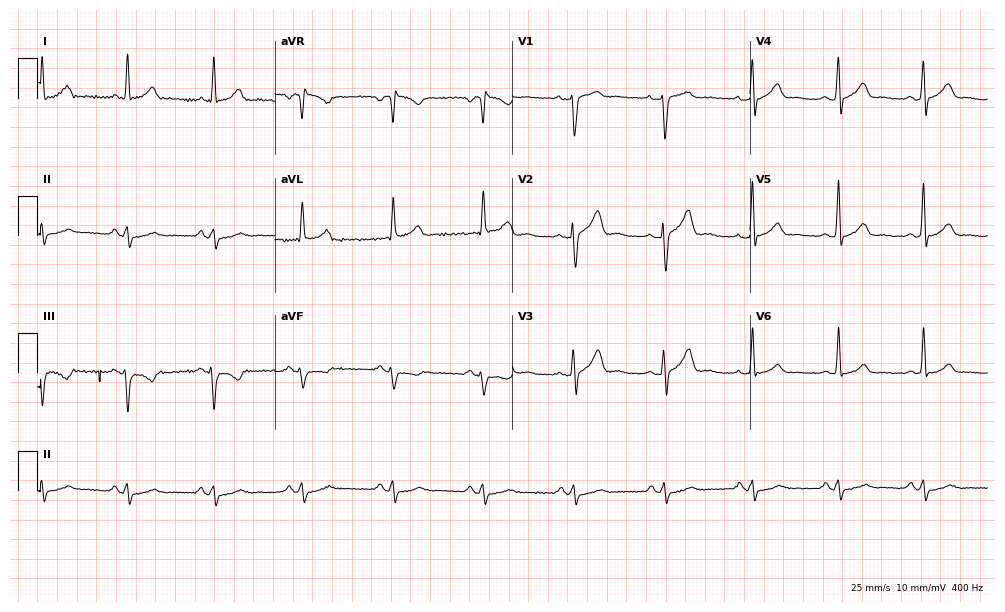
ECG (9.7-second recording at 400 Hz) — a 59-year-old man. Screened for six findings — first-degree AV block, right bundle branch block, left bundle branch block, sinus bradycardia, atrial fibrillation, sinus tachycardia — none is recorded. Only these six findings were labelled.